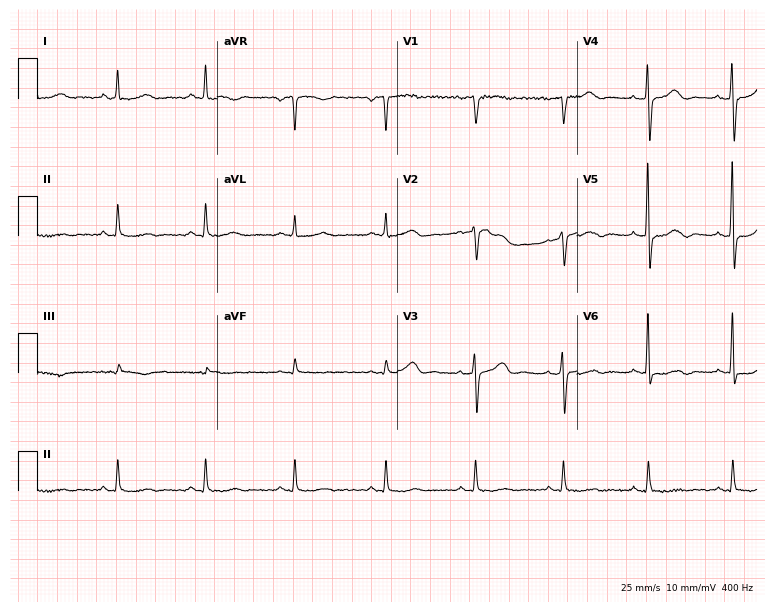
Standard 12-lead ECG recorded from a 67-year-old woman. None of these six findings is recorded: first-degree AV block, right bundle branch block (RBBB), left bundle branch block (LBBB), sinus bradycardia, atrial fibrillation (AF), sinus tachycardia. Other findings, if any, are not listed.